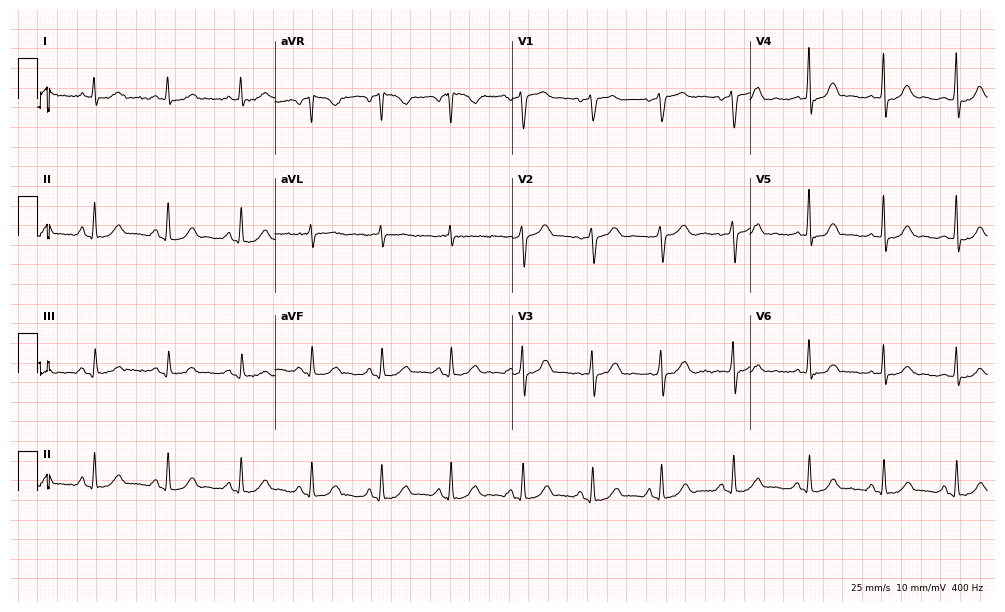
Resting 12-lead electrocardiogram (9.7-second recording at 400 Hz). Patient: a 63-year-old female. Read as a normal ECG.